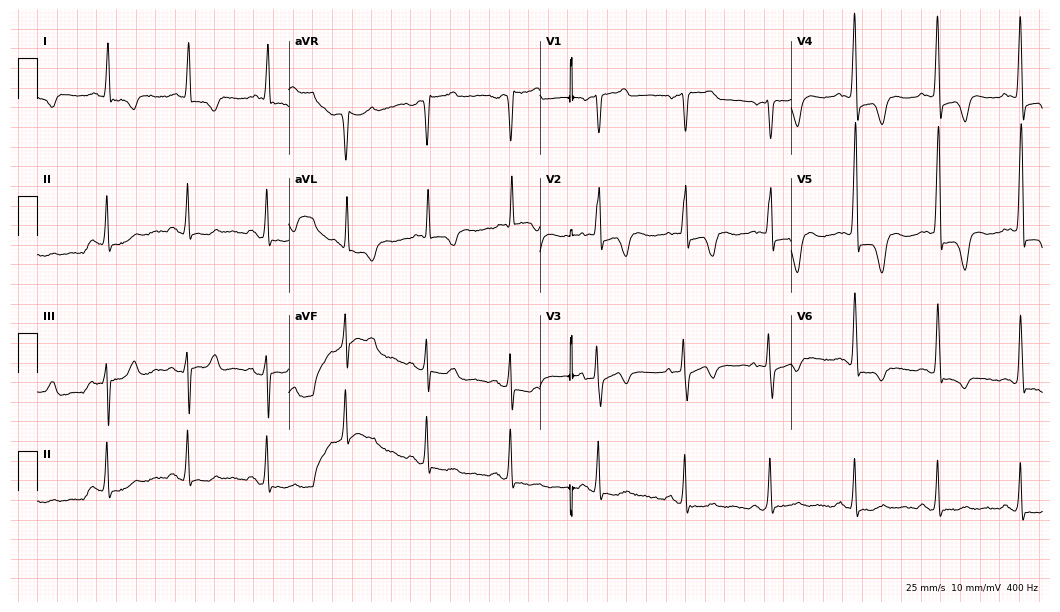
12-lead ECG from a male patient, 85 years old. Screened for six findings — first-degree AV block, right bundle branch block, left bundle branch block, sinus bradycardia, atrial fibrillation, sinus tachycardia — none is recorded. Findings outside these six are not listed.